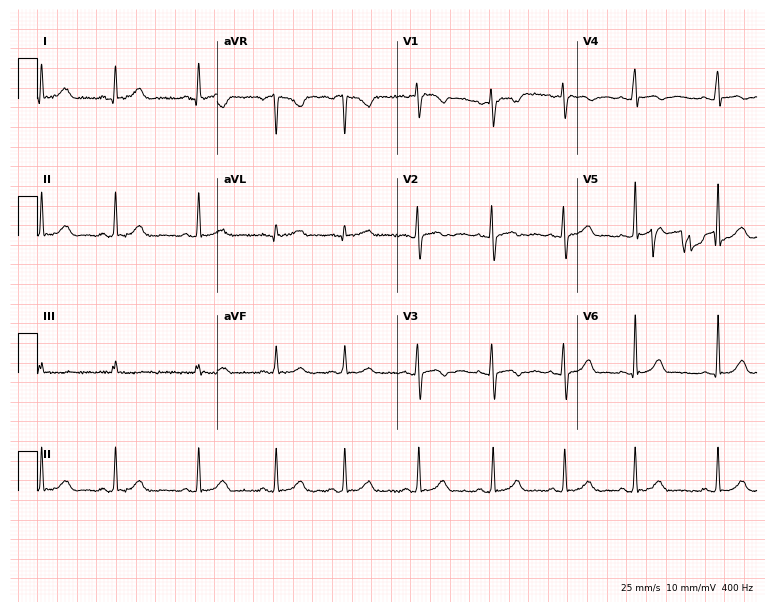
12-lead ECG from a female patient, 17 years old (7.3-second recording at 400 Hz). Recorded interpretation: within normal limits.